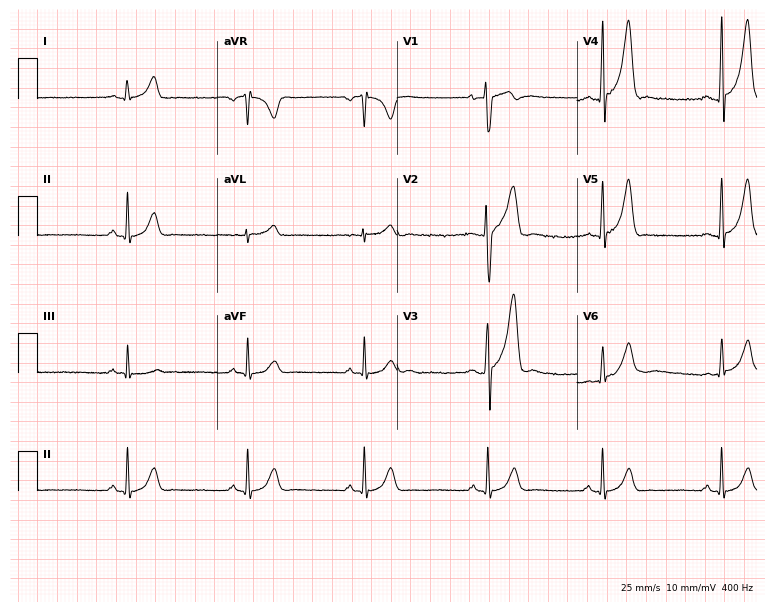
Resting 12-lead electrocardiogram (7.3-second recording at 400 Hz). Patient: a 19-year-old man. Read as a normal ECG.